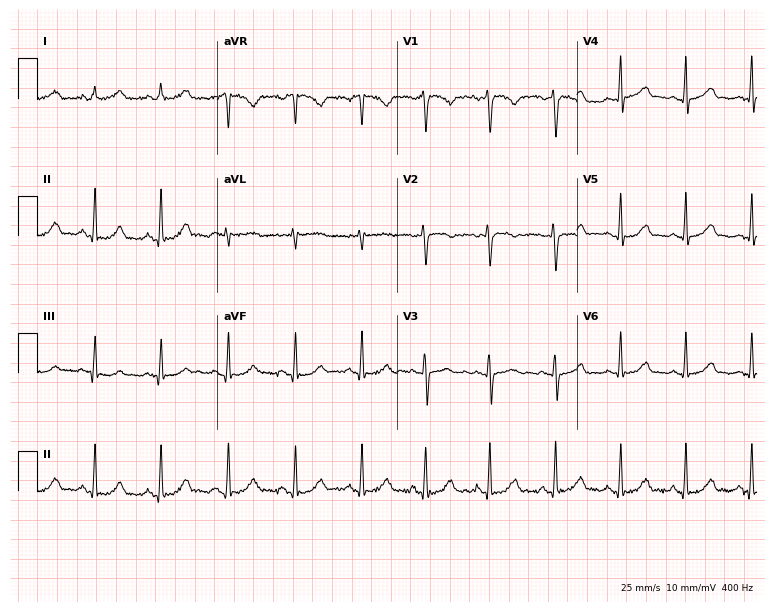
12-lead ECG from a 21-year-old female (7.3-second recording at 400 Hz). Recorded interpretation: within normal limits.